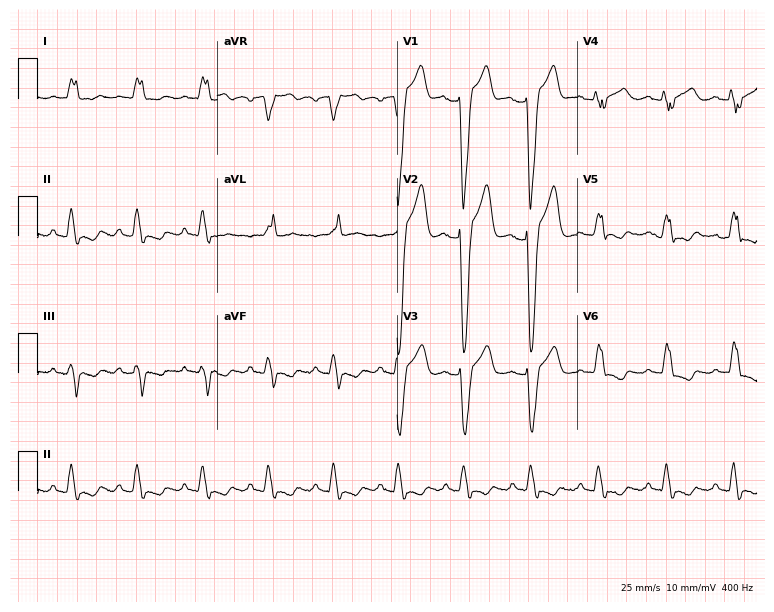
12-lead ECG from a 48-year-old man (7.3-second recording at 400 Hz). Shows left bundle branch block.